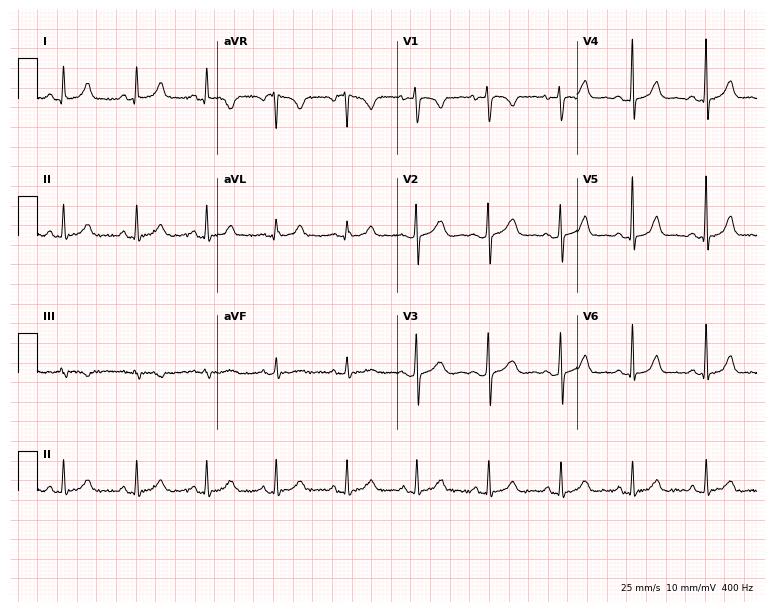
ECG (7.3-second recording at 400 Hz) — a female, 23 years old. Labelled as a normal ECG.